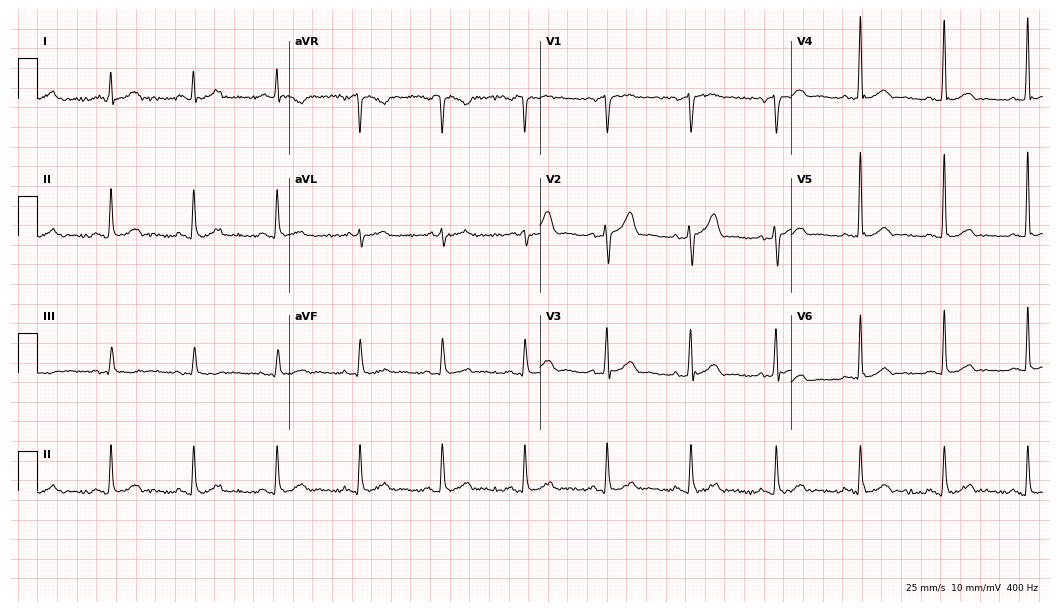
Resting 12-lead electrocardiogram (10.2-second recording at 400 Hz). Patient: a 48-year-old male. Read as a normal ECG.